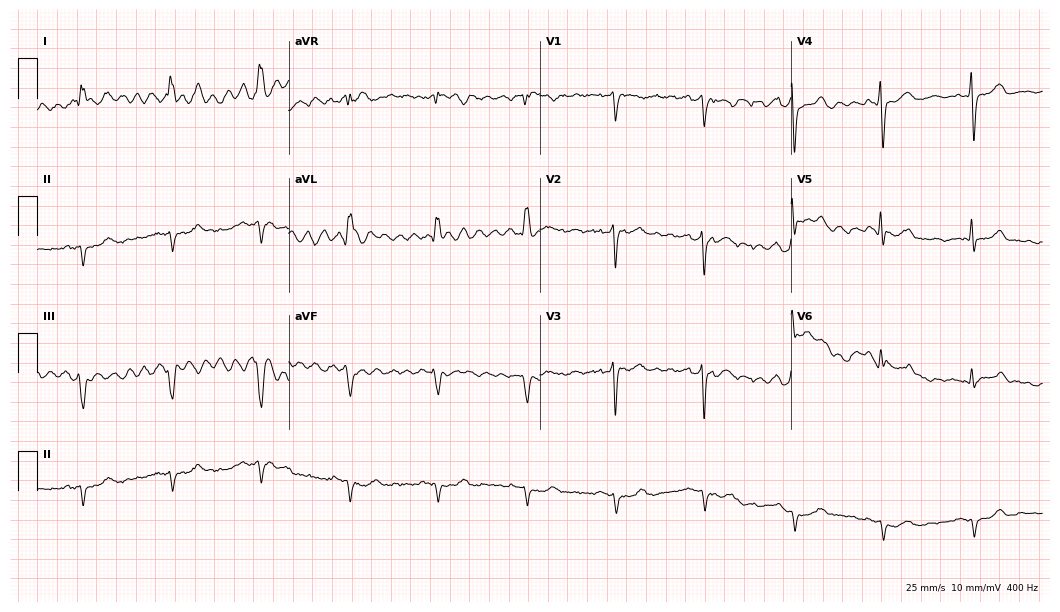
Standard 12-lead ECG recorded from a man, 77 years old. None of these six findings is recorded: first-degree AV block, right bundle branch block (RBBB), left bundle branch block (LBBB), sinus bradycardia, atrial fibrillation (AF), sinus tachycardia. Findings outside these six are not listed.